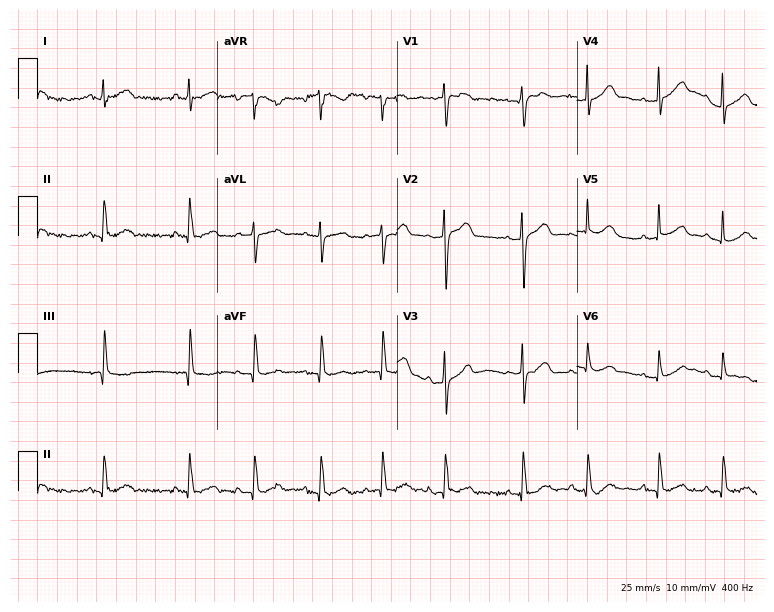
Resting 12-lead electrocardiogram (7.3-second recording at 400 Hz). Patient: a male, 24 years old. Read as a normal ECG.